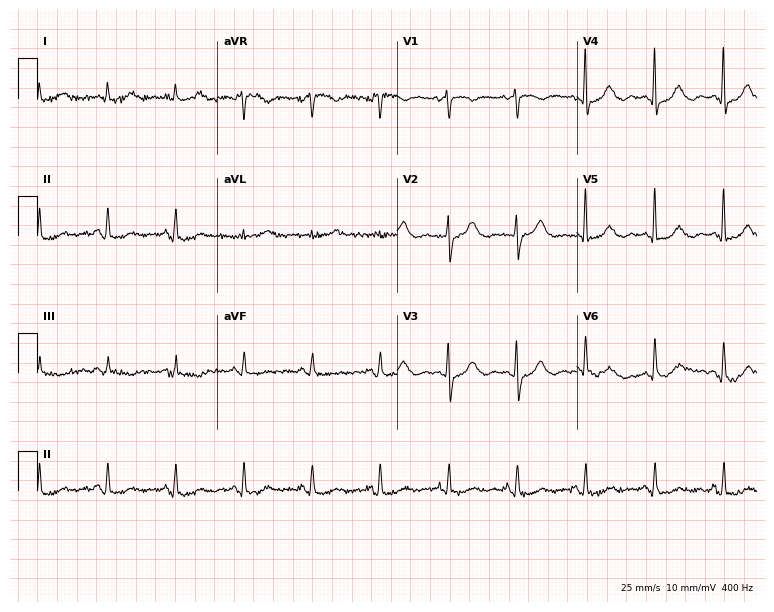
Electrocardiogram, a 66-year-old female patient. Overall reading on record: normal ECG.